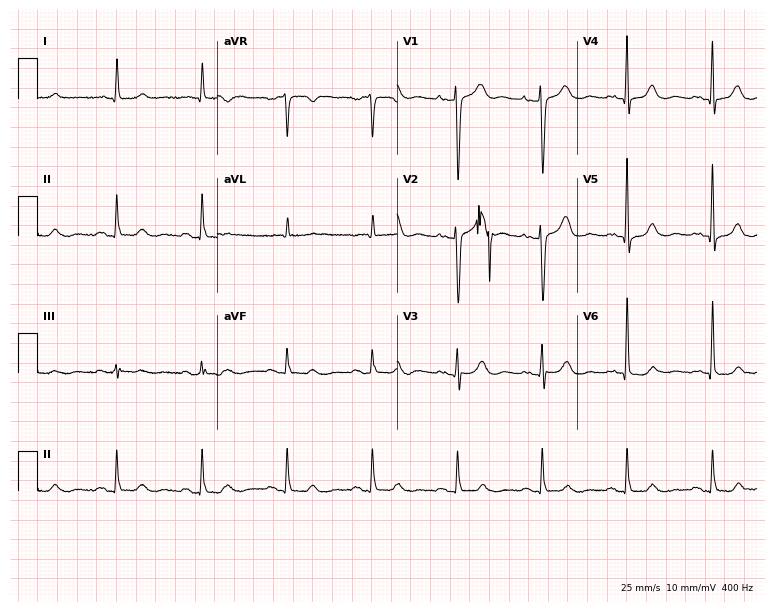
Electrocardiogram, a 75-year-old woman. Overall reading on record: normal ECG.